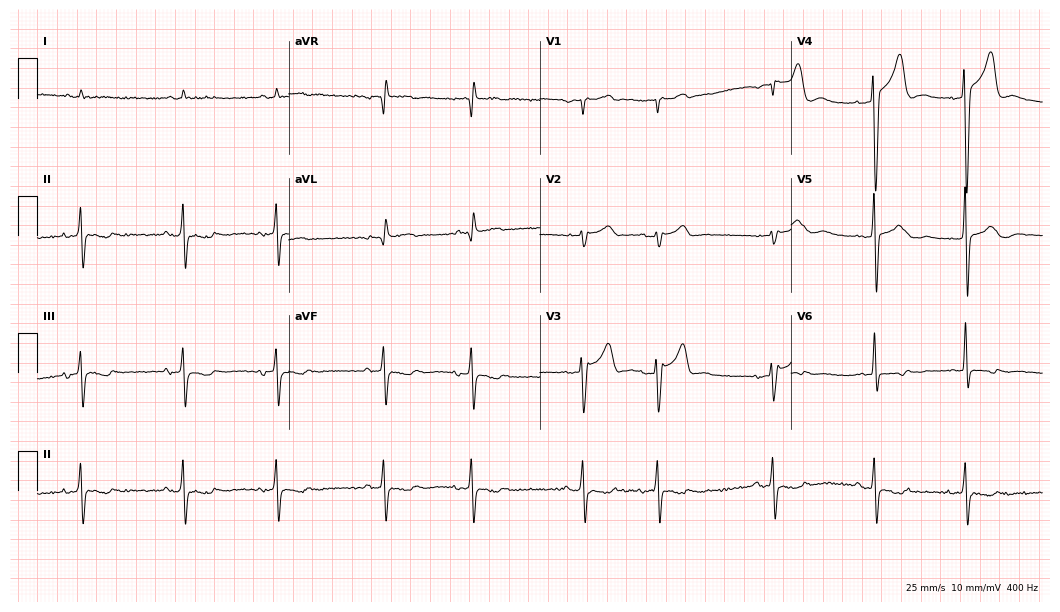
12-lead ECG from a man, 72 years old. Screened for six findings — first-degree AV block, right bundle branch block, left bundle branch block, sinus bradycardia, atrial fibrillation, sinus tachycardia — none is recorded.